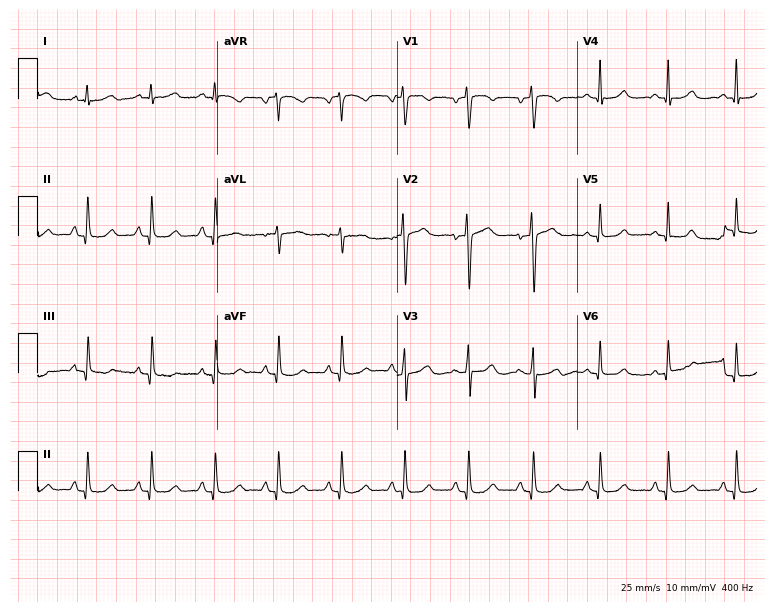
12-lead ECG from a 35-year-old woman. Screened for six findings — first-degree AV block, right bundle branch block, left bundle branch block, sinus bradycardia, atrial fibrillation, sinus tachycardia — none is recorded. Findings outside these six are not listed.